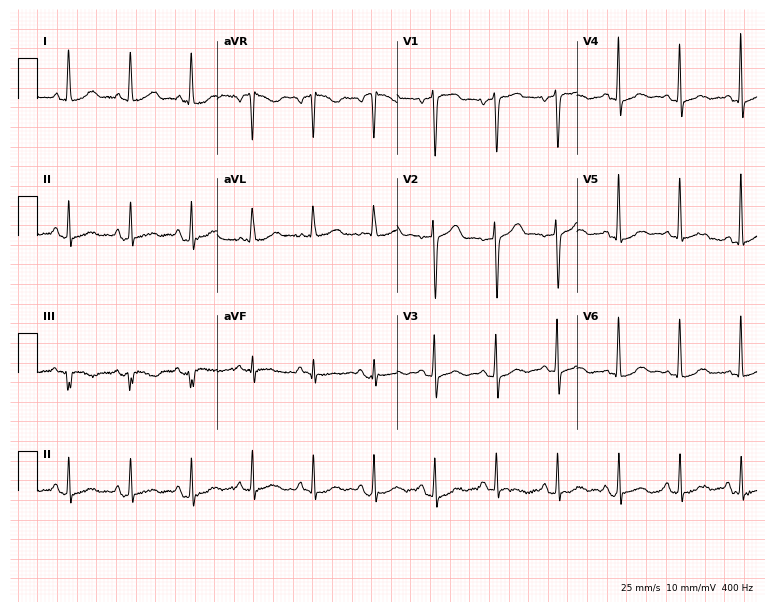
12-lead ECG from a 69-year-old woman (7.3-second recording at 400 Hz). No first-degree AV block, right bundle branch block (RBBB), left bundle branch block (LBBB), sinus bradycardia, atrial fibrillation (AF) or sinus tachycardia recorded for this tracing. Other findings, if any, are not listed.